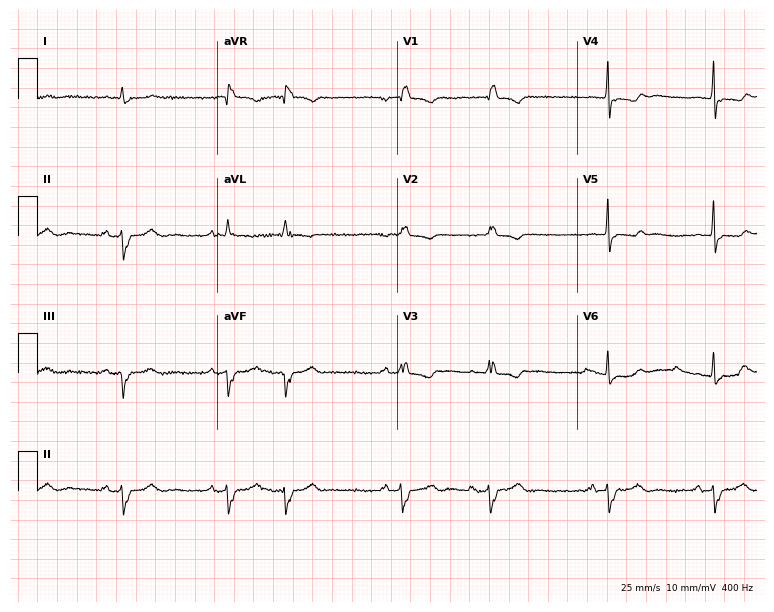
Standard 12-lead ECG recorded from a 66-year-old female (7.3-second recording at 400 Hz). None of these six findings is recorded: first-degree AV block, right bundle branch block (RBBB), left bundle branch block (LBBB), sinus bradycardia, atrial fibrillation (AF), sinus tachycardia. Other findings, if any, are not listed.